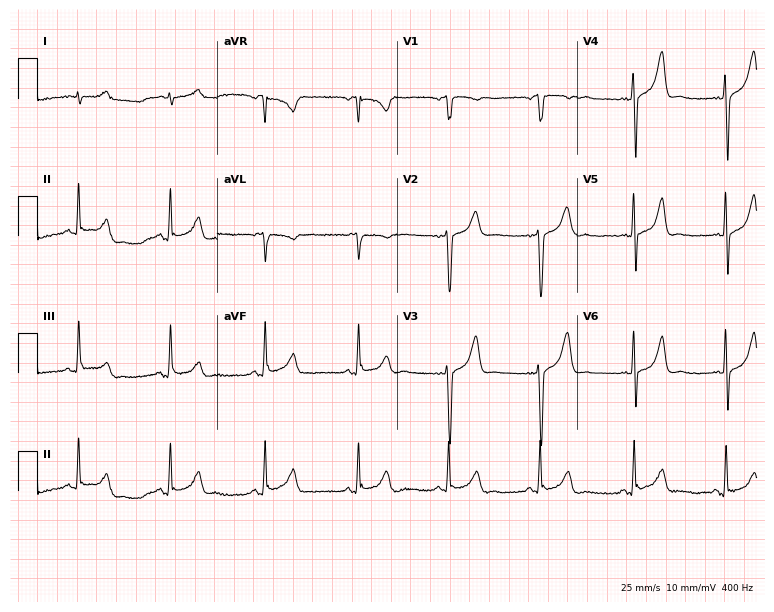
12-lead ECG from a man, 48 years old. Screened for six findings — first-degree AV block, right bundle branch block, left bundle branch block, sinus bradycardia, atrial fibrillation, sinus tachycardia — none is recorded. Only these six findings were labelled.